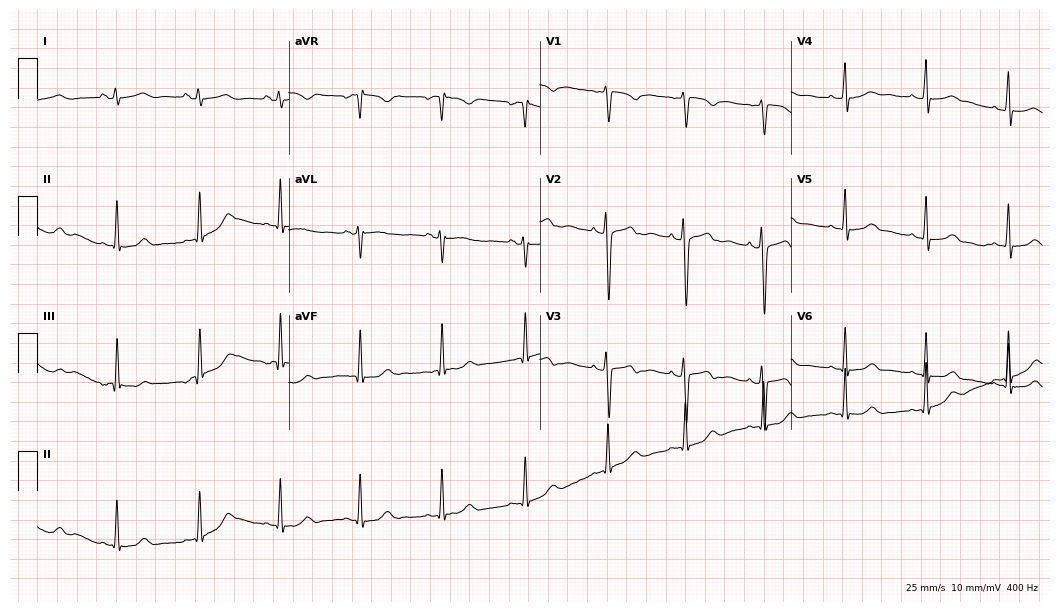
Electrocardiogram, a 20-year-old woman. Of the six screened findings (first-degree AV block, right bundle branch block, left bundle branch block, sinus bradycardia, atrial fibrillation, sinus tachycardia), none is recorded. Only these six findings were labelled.